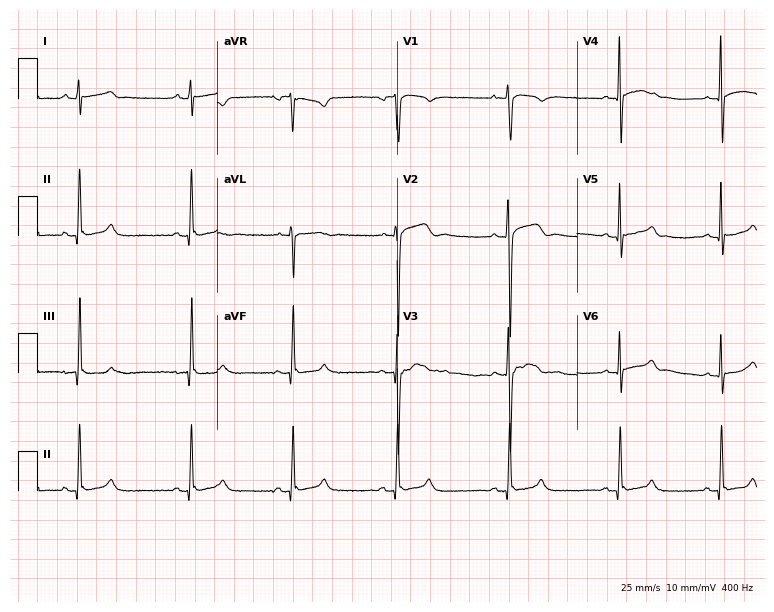
12-lead ECG from a female patient, 28 years old. Recorded interpretation: within normal limits.